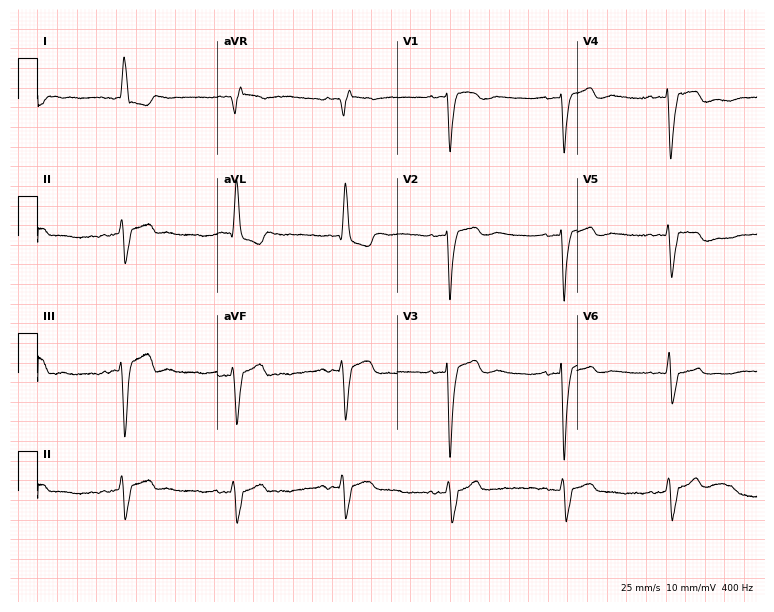
Electrocardiogram, a female patient, 87 years old. Interpretation includes left bundle branch block.